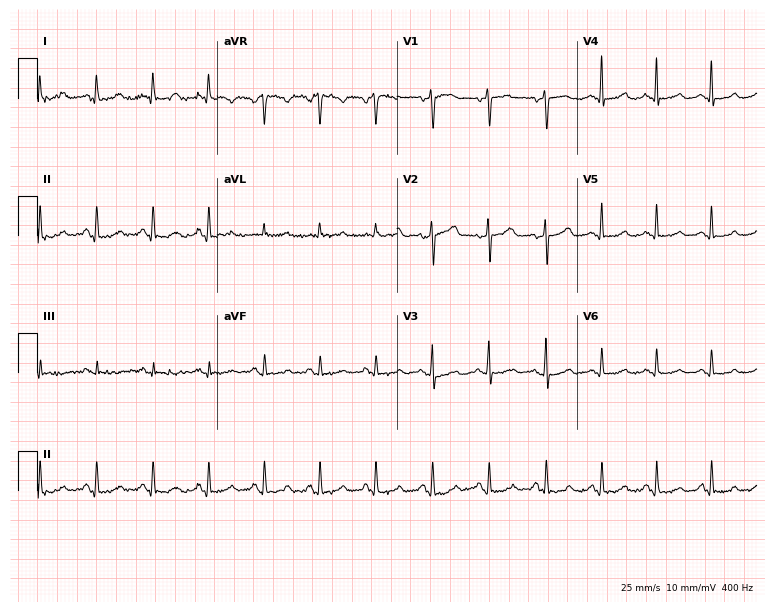
ECG — a 53-year-old female. Findings include sinus tachycardia (a sinus rate of 100 beats per minute or more).